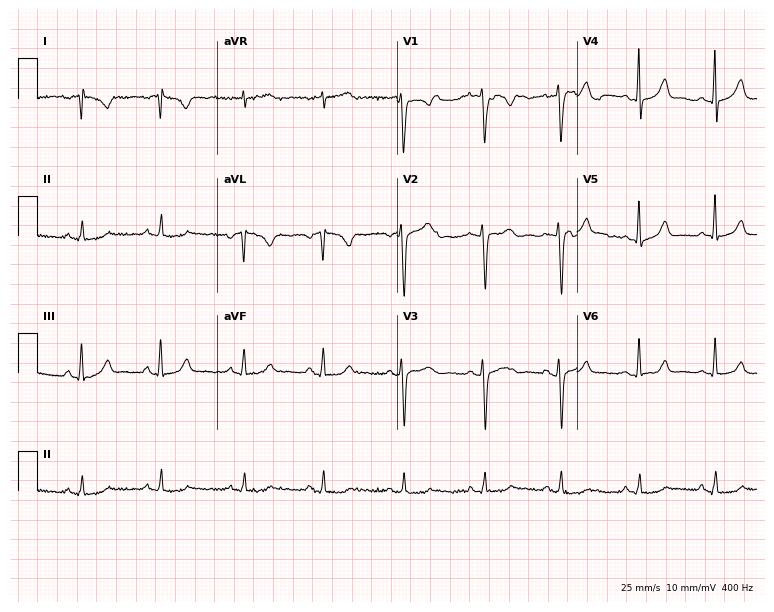
12-lead ECG from a female patient, 20 years old. Screened for six findings — first-degree AV block, right bundle branch block, left bundle branch block, sinus bradycardia, atrial fibrillation, sinus tachycardia — none is recorded. Other findings, if any, are not listed.